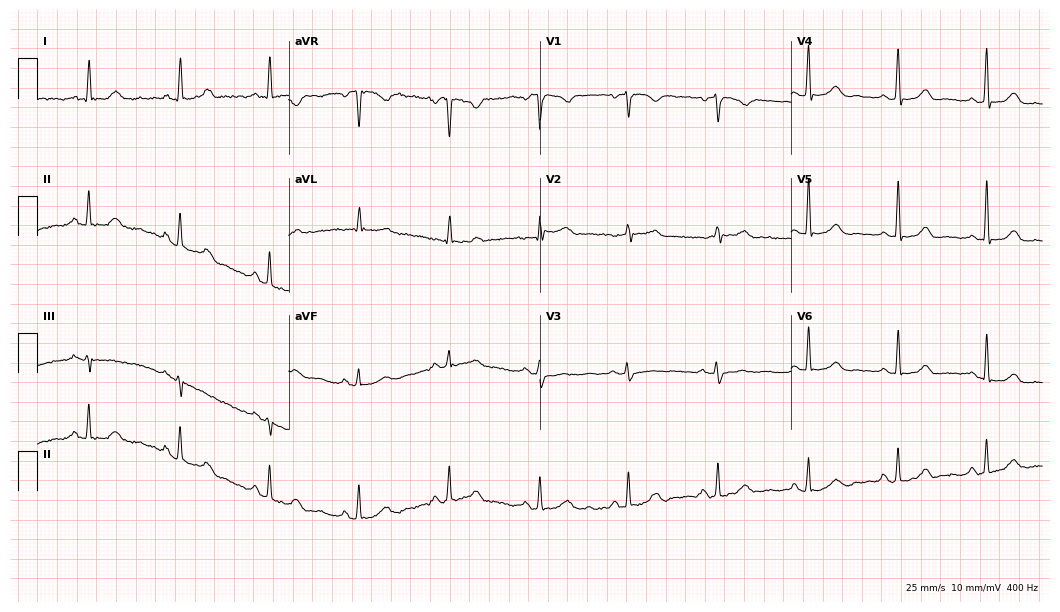
Electrocardiogram (10.2-second recording at 400 Hz), a female, 70 years old. Of the six screened findings (first-degree AV block, right bundle branch block (RBBB), left bundle branch block (LBBB), sinus bradycardia, atrial fibrillation (AF), sinus tachycardia), none is recorded.